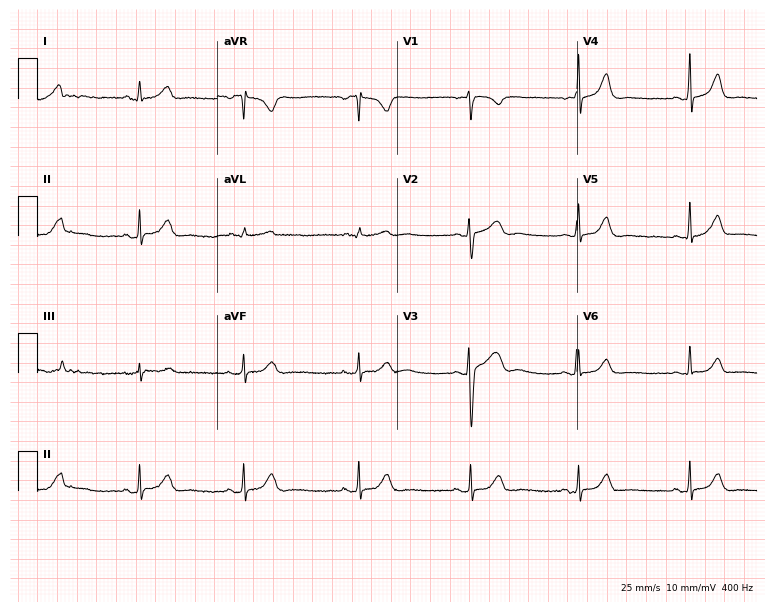
Electrocardiogram (7.3-second recording at 400 Hz), a 29-year-old female patient. Overall reading on record: normal ECG.